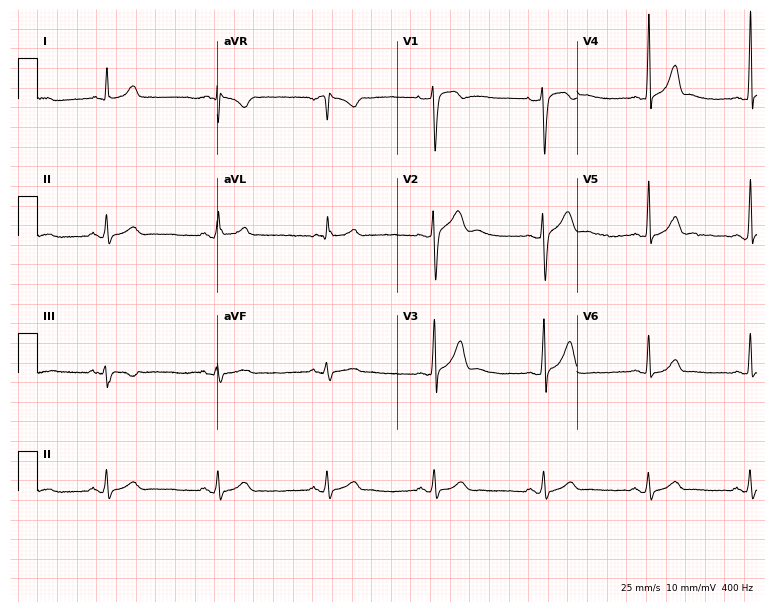
ECG — a 31-year-old man. Screened for six findings — first-degree AV block, right bundle branch block (RBBB), left bundle branch block (LBBB), sinus bradycardia, atrial fibrillation (AF), sinus tachycardia — none is recorded. Other findings, if any, are not listed.